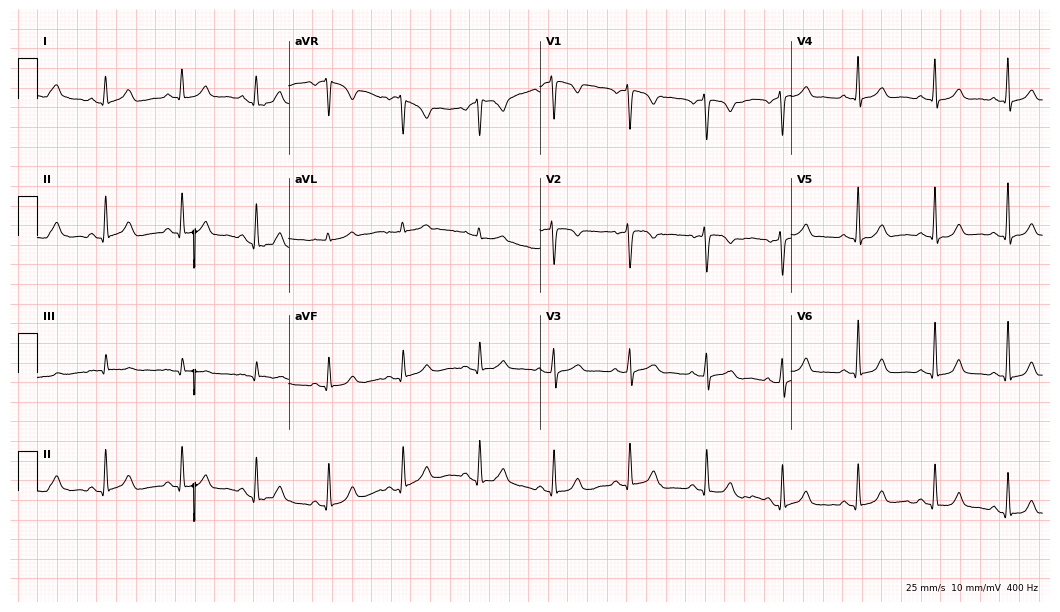
Resting 12-lead electrocardiogram. Patient: a female, 35 years old. Read as a normal ECG.